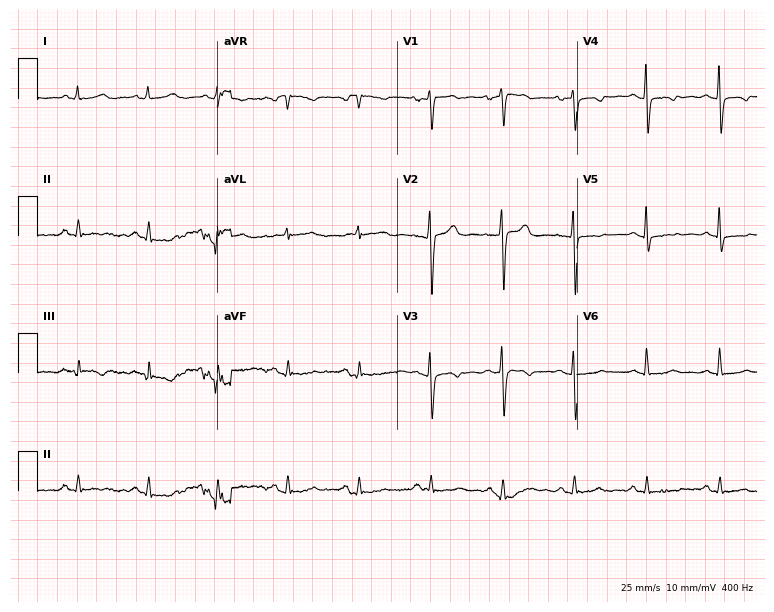
ECG — a woman, 36 years old. Screened for six findings — first-degree AV block, right bundle branch block, left bundle branch block, sinus bradycardia, atrial fibrillation, sinus tachycardia — none is recorded.